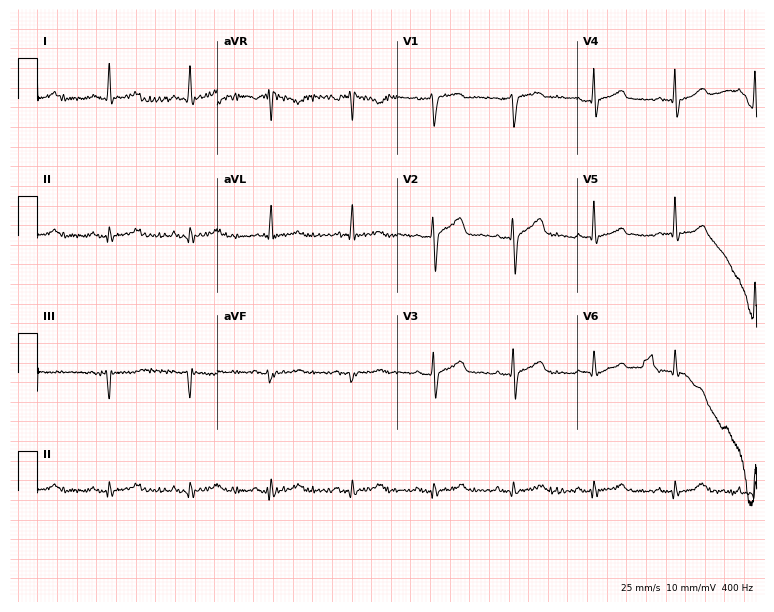
12-lead ECG (7.3-second recording at 400 Hz) from a 78-year-old male patient. Labelled as a normal ECG.